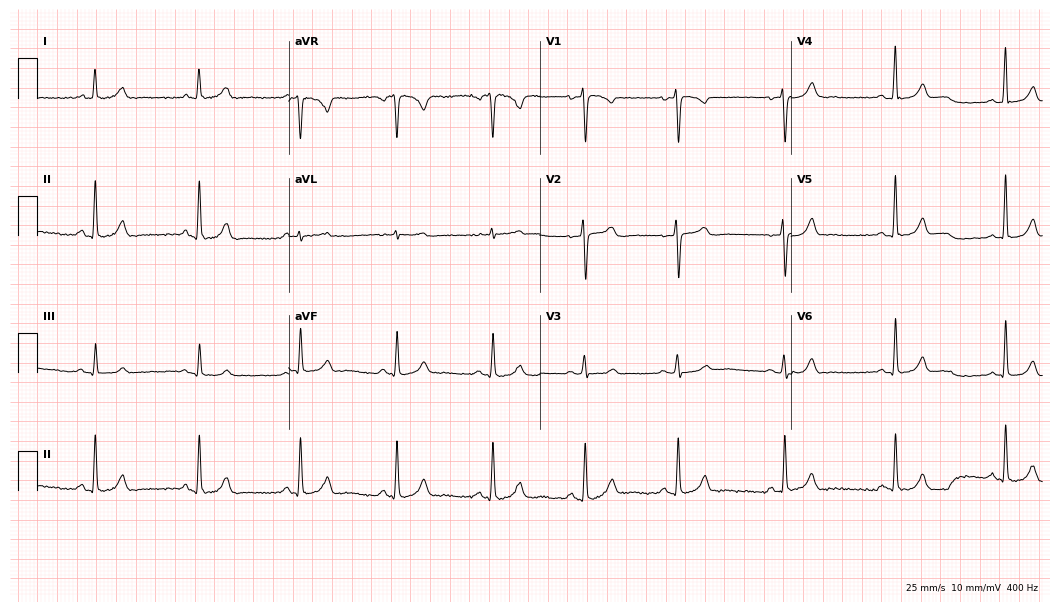
Electrocardiogram (10.2-second recording at 400 Hz), a female, 38 years old. Overall reading on record: normal ECG.